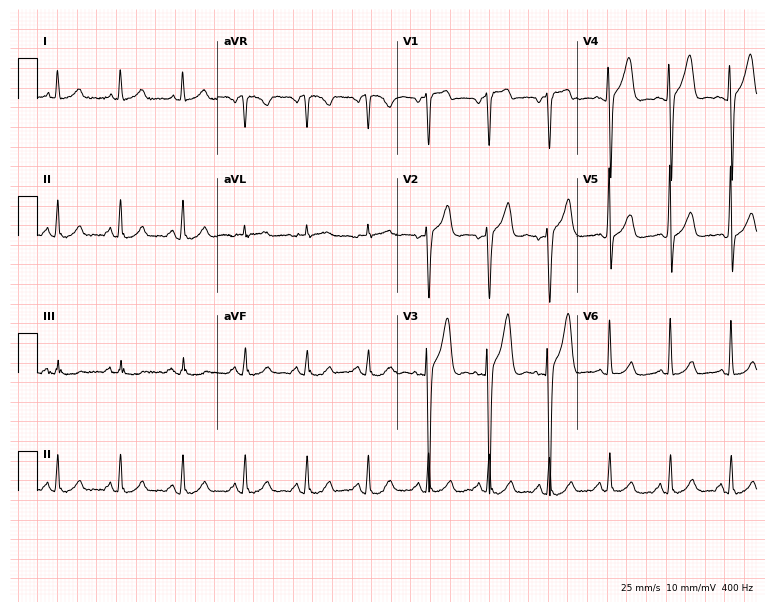
12-lead ECG from a male, 49 years old (7.3-second recording at 400 Hz). Recorded interpretation: within normal limits.